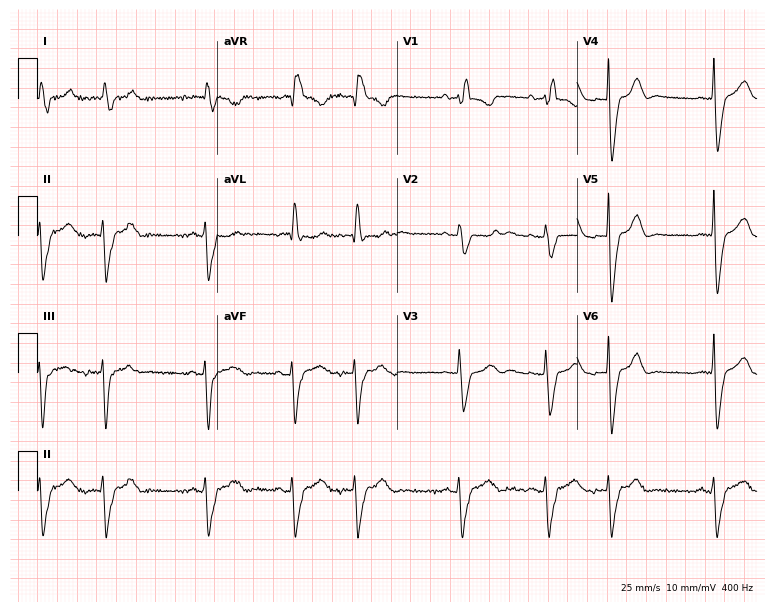
12-lead ECG from a 79-year-old female patient. Shows first-degree AV block, right bundle branch block (RBBB).